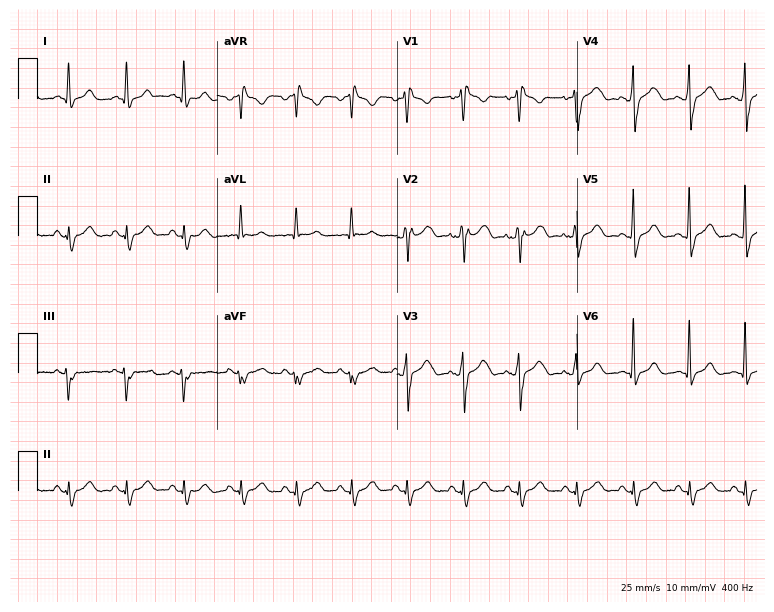
ECG (7.3-second recording at 400 Hz) — a man, 40 years old. Findings include sinus tachycardia (a sinus rate of 100 beats per minute or more).